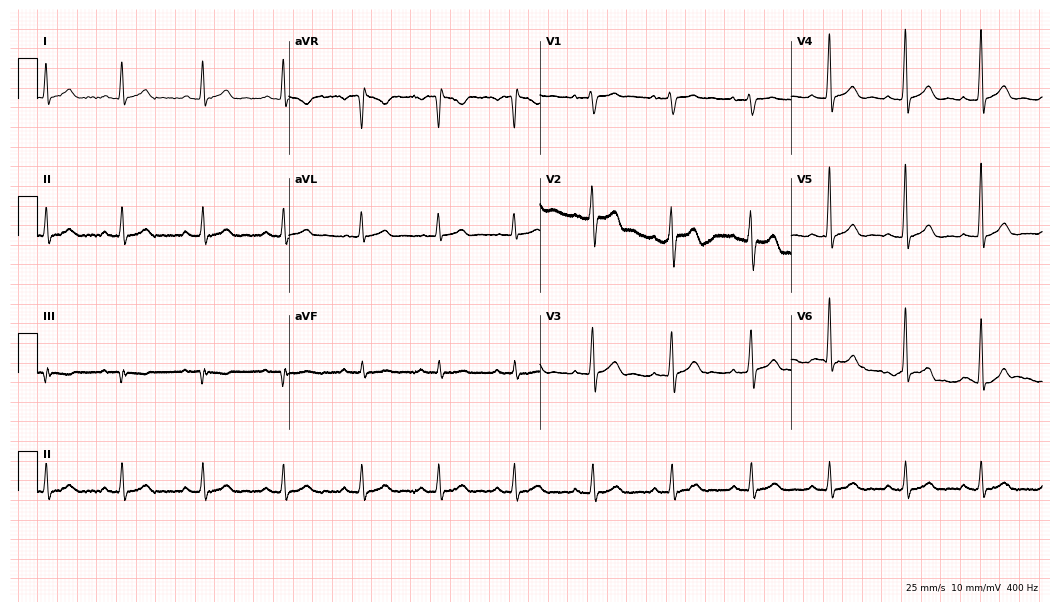
ECG — a 38-year-old male. Labelled as a normal ECG.